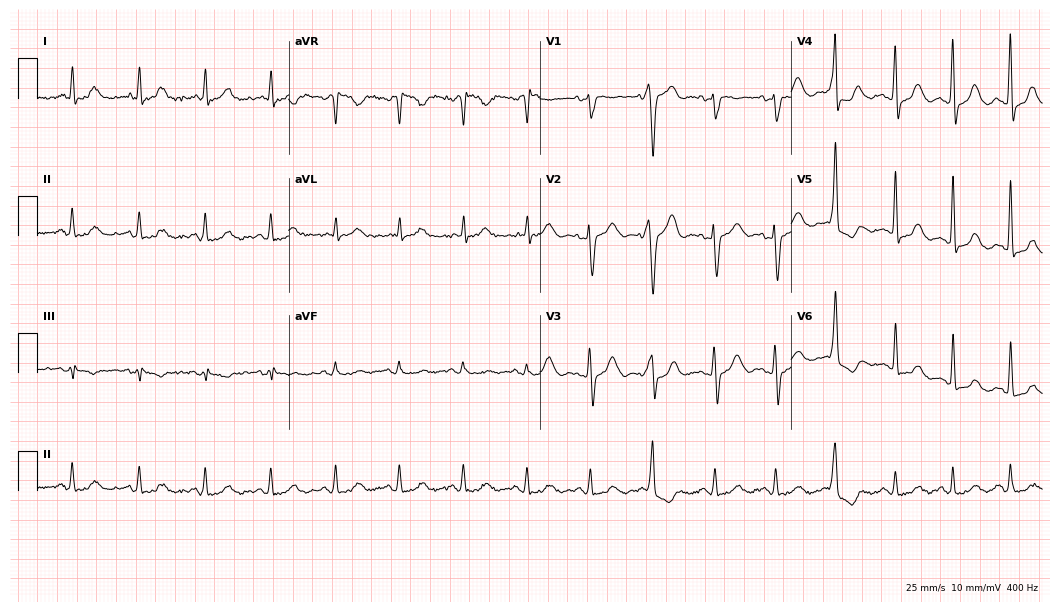
ECG — a 59-year-old female patient. Screened for six findings — first-degree AV block, right bundle branch block, left bundle branch block, sinus bradycardia, atrial fibrillation, sinus tachycardia — none is recorded.